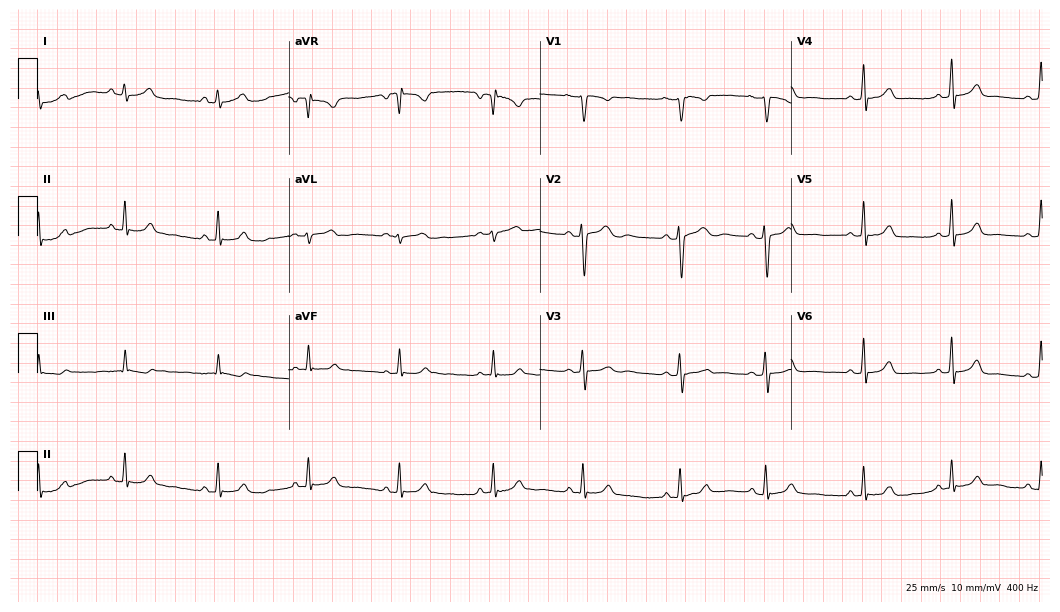
12-lead ECG from a 20-year-old female (10.2-second recording at 400 Hz). No first-degree AV block, right bundle branch block, left bundle branch block, sinus bradycardia, atrial fibrillation or sinus tachycardia recorded for this tracing. Only these six findings were labelled.